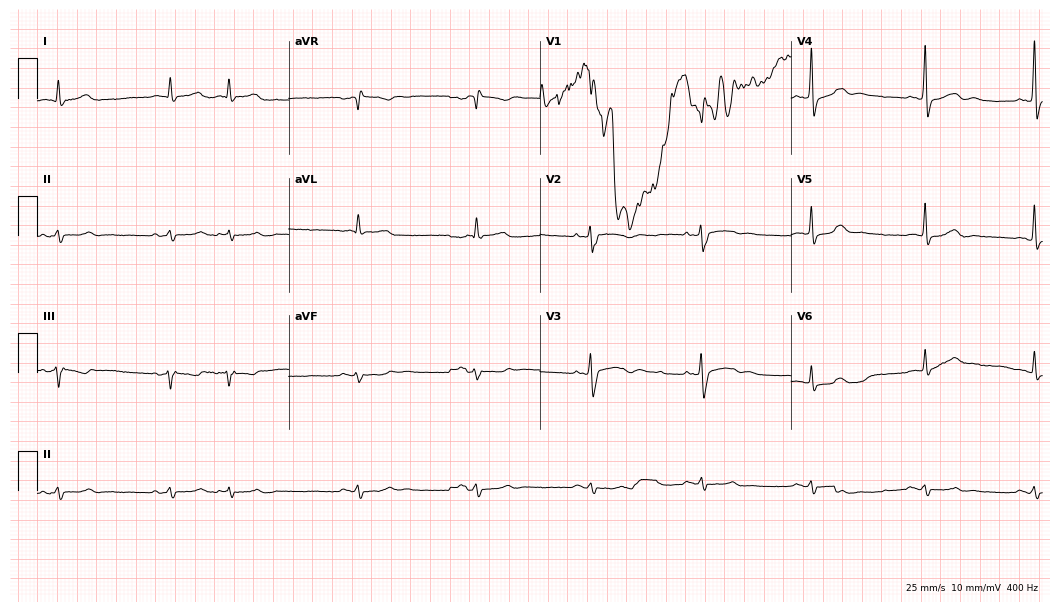
Resting 12-lead electrocardiogram. Patient: an 81-year-old male. None of these six findings is recorded: first-degree AV block, right bundle branch block, left bundle branch block, sinus bradycardia, atrial fibrillation, sinus tachycardia.